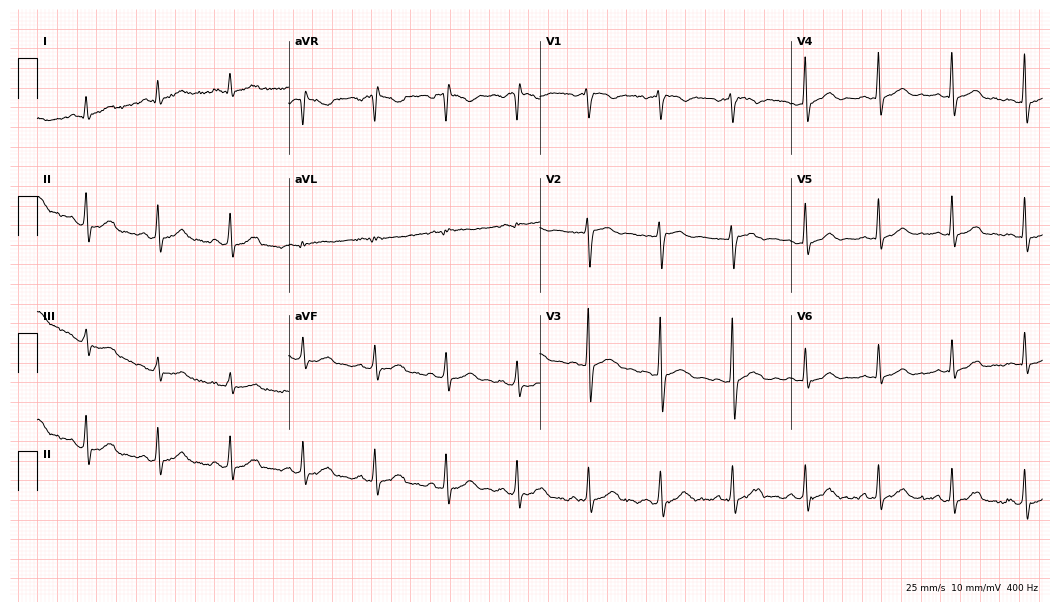
Resting 12-lead electrocardiogram (10.2-second recording at 400 Hz). Patient: a 44-year-old male. None of these six findings is recorded: first-degree AV block, right bundle branch block, left bundle branch block, sinus bradycardia, atrial fibrillation, sinus tachycardia.